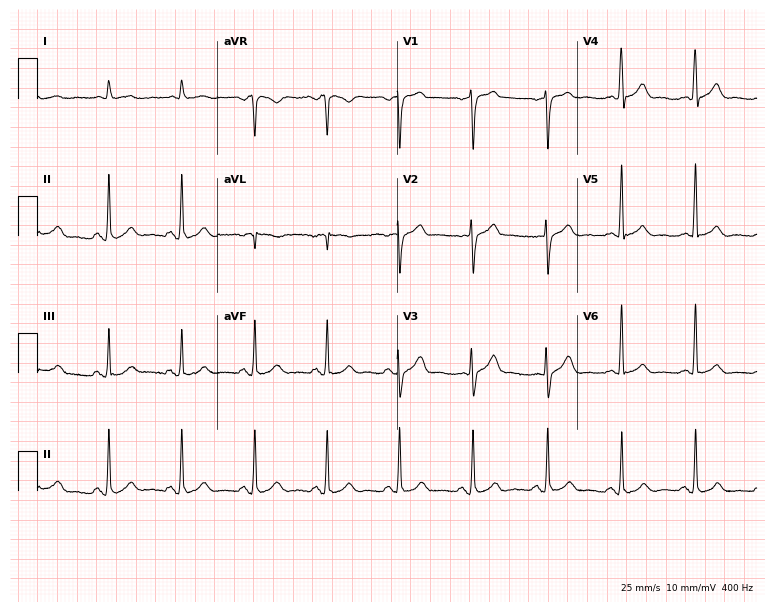
12-lead ECG from a male patient, 46 years old (7.3-second recording at 400 Hz). No first-degree AV block, right bundle branch block (RBBB), left bundle branch block (LBBB), sinus bradycardia, atrial fibrillation (AF) or sinus tachycardia recorded for this tracing.